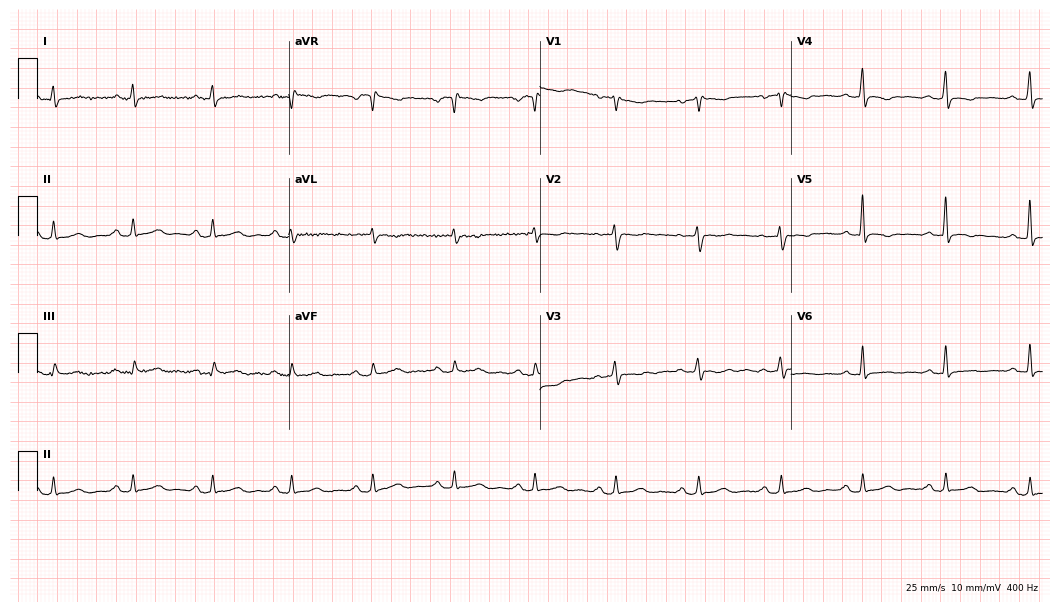
12-lead ECG (10.2-second recording at 400 Hz) from a female, 43 years old. Screened for six findings — first-degree AV block, right bundle branch block, left bundle branch block, sinus bradycardia, atrial fibrillation, sinus tachycardia — none is recorded. Other findings, if any, are not listed.